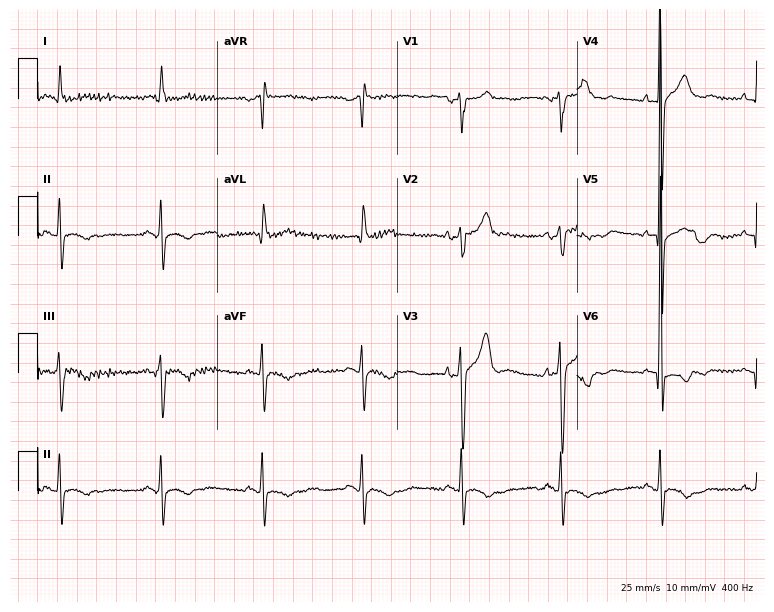
Electrocardiogram (7.3-second recording at 400 Hz), a 71-year-old man. Of the six screened findings (first-degree AV block, right bundle branch block (RBBB), left bundle branch block (LBBB), sinus bradycardia, atrial fibrillation (AF), sinus tachycardia), none is recorded.